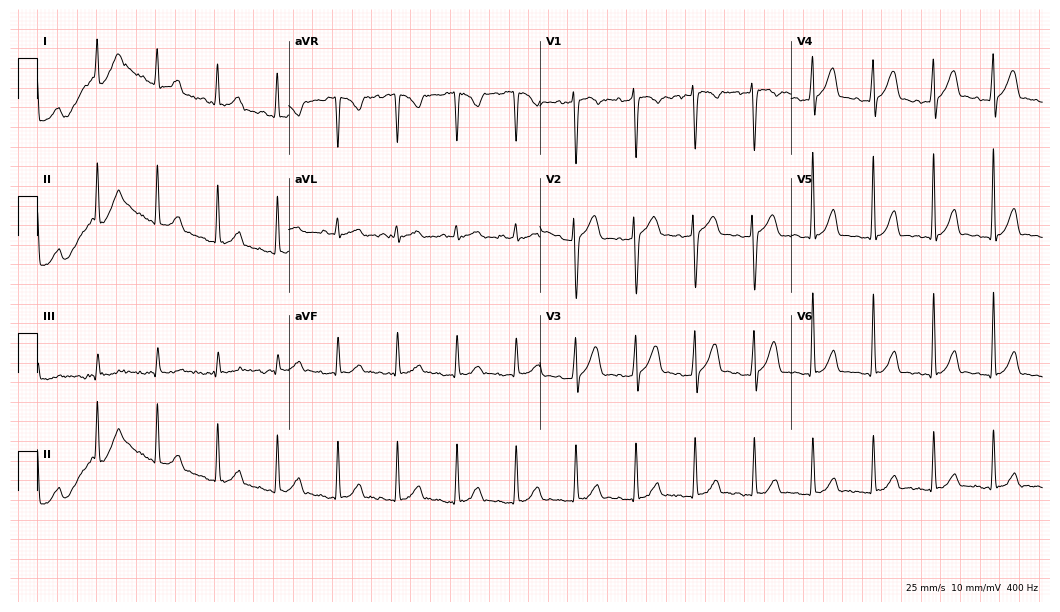
Resting 12-lead electrocardiogram. Patient: a 26-year-old male. None of these six findings is recorded: first-degree AV block, right bundle branch block (RBBB), left bundle branch block (LBBB), sinus bradycardia, atrial fibrillation (AF), sinus tachycardia. Only these six findings were labelled.